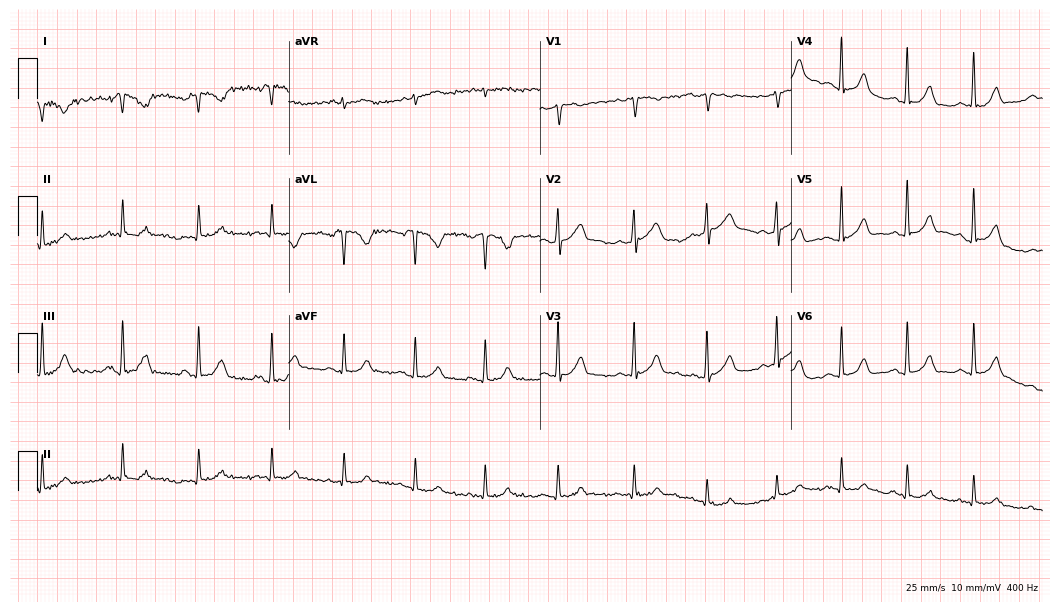
12-lead ECG (10.2-second recording at 400 Hz) from a 32-year-old female. Screened for six findings — first-degree AV block, right bundle branch block (RBBB), left bundle branch block (LBBB), sinus bradycardia, atrial fibrillation (AF), sinus tachycardia — none is recorded. Other findings, if any, are not listed.